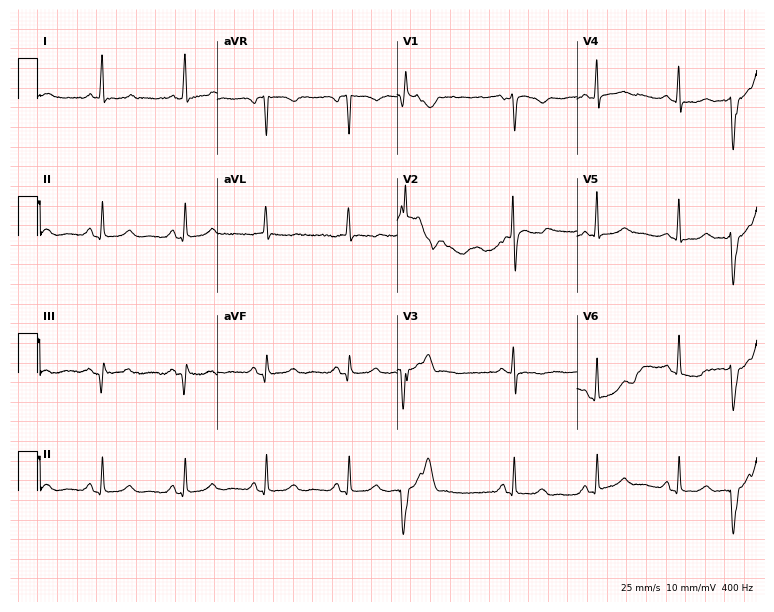
Resting 12-lead electrocardiogram (7.3-second recording at 400 Hz). Patient: a 59-year-old woman. None of these six findings is recorded: first-degree AV block, right bundle branch block, left bundle branch block, sinus bradycardia, atrial fibrillation, sinus tachycardia.